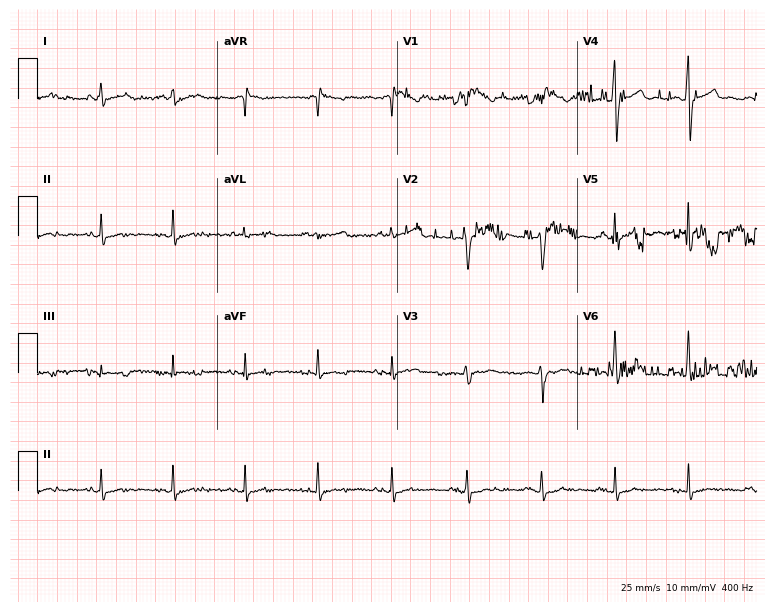
12-lead ECG from a 43-year-old male patient. Screened for six findings — first-degree AV block, right bundle branch block (RBBB), left bundle branch block (LBBB), sinus bradycardia, atrial fibrillation (AF), sinus tachycardia — none is recorded. Only these six findings were labelled.